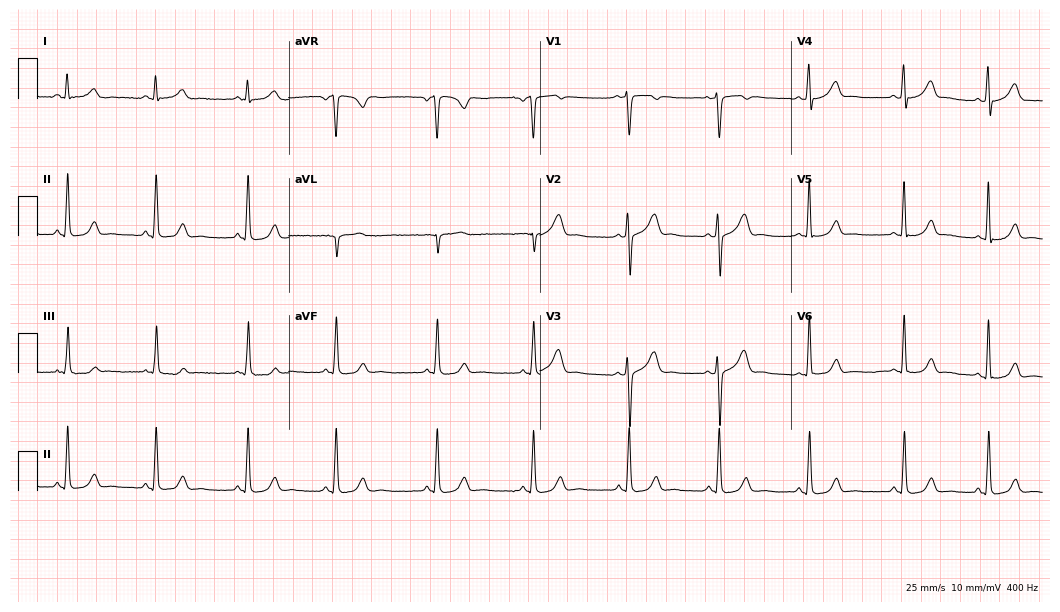
Standard 12-lead ECG recorded from a female, 24 years old (10.2-second recording at 400 Hz). None of these six findings is recorded: first-degree AV block, right bundle branch block (RBBB), left bundle branch block (LBBB), sinus bradycardia, atrial fibrillation (AF), sinus tachycardia.